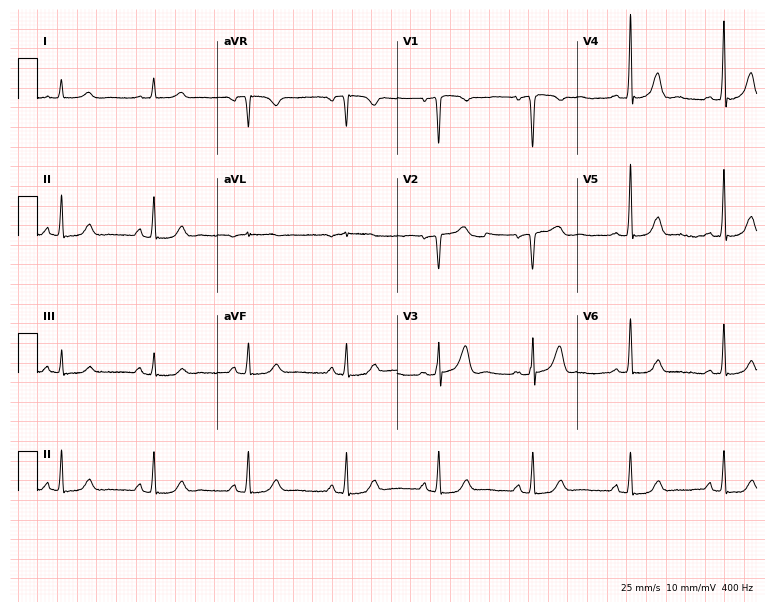
ECG — a 69-year-old female patient. Screened for six findings — first-degree AV block, right bundle branch block (RBBB), left bundle branch block (LBBB), sinus bradycardia, atrial fibrillation (AF), sinus tachycardia — none is recorded. Other findings, if any, are not listed.